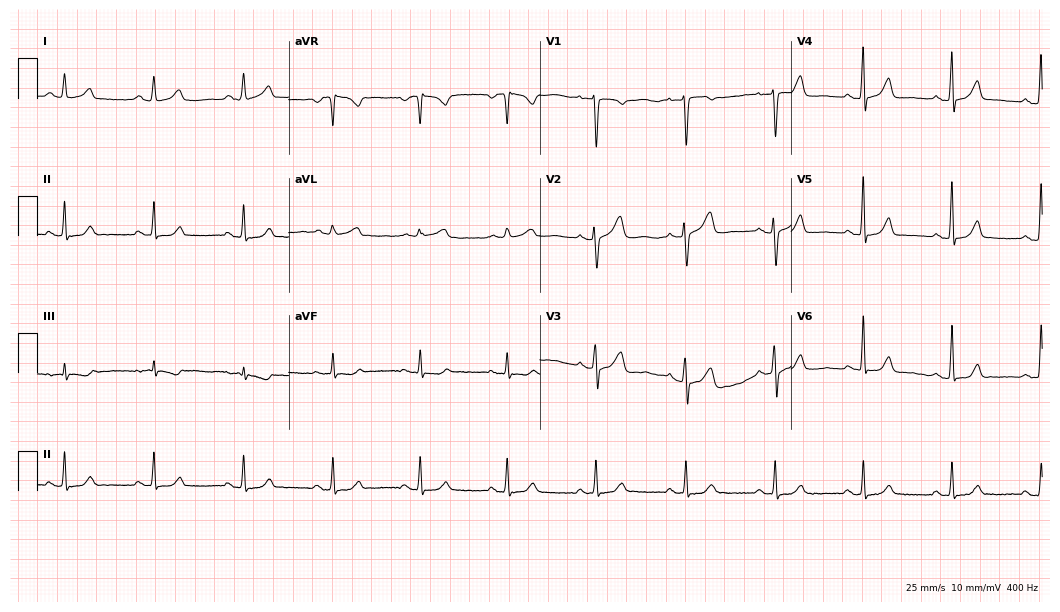
Resting 12-lead electrocardiogram (10.2-second recording at 400 Hz). Patient: a 51-year-old woman. Read as a normal ECG.